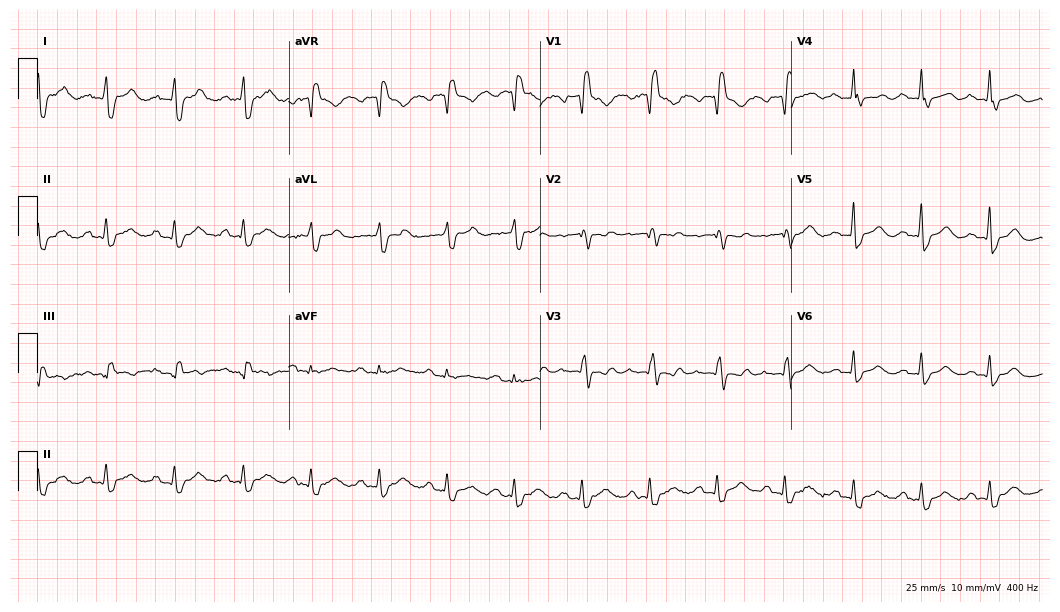
12-lead ECG from a 67-year-old woman. Findings include first-degree AV block, right bundle branch block.